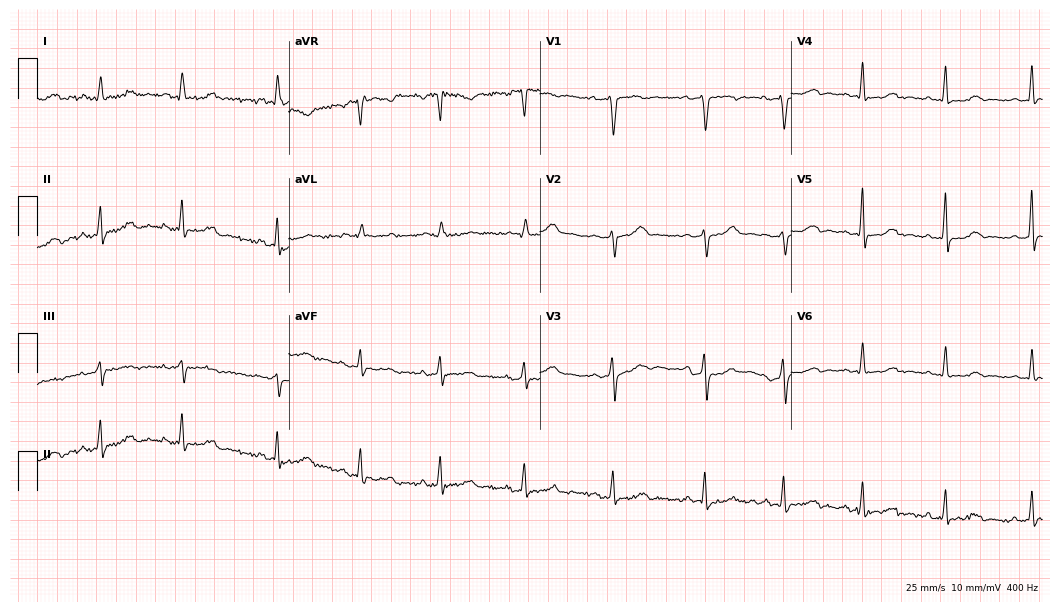
12-lead ECG from a woman, 47 years old (10.2-second recording at 400 Hz). Recorded interpretation: within normal limits.